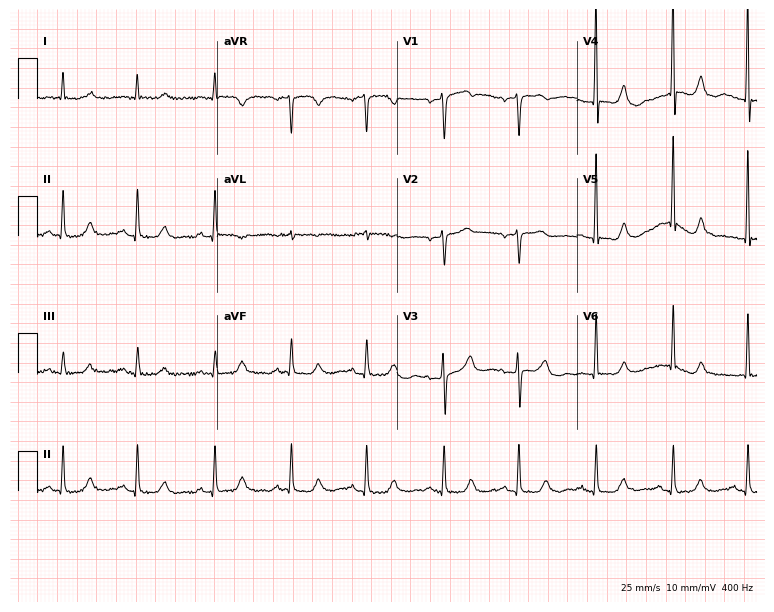
Electrocardiogram, an 83-year-old woman. Of the six screened findings (first-degree AV block, right bundle branch block, left bundle branch block, sinus bradycardia, atrial fibrillation, sinus tachycardia), none is recorded. Other findings, if any, are not listed.